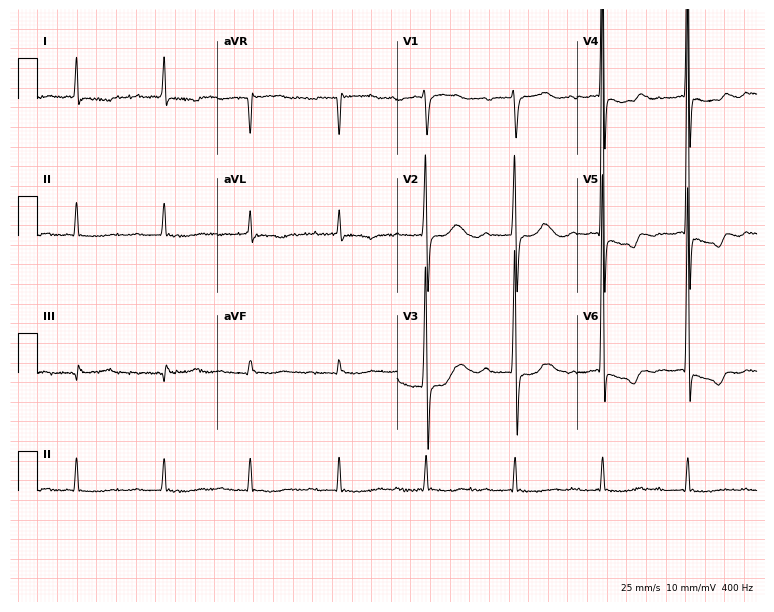
12-lead ECG (7.3-second recording at 400 Hz) from a male, 80 years old. Findings include first-degree AV block.